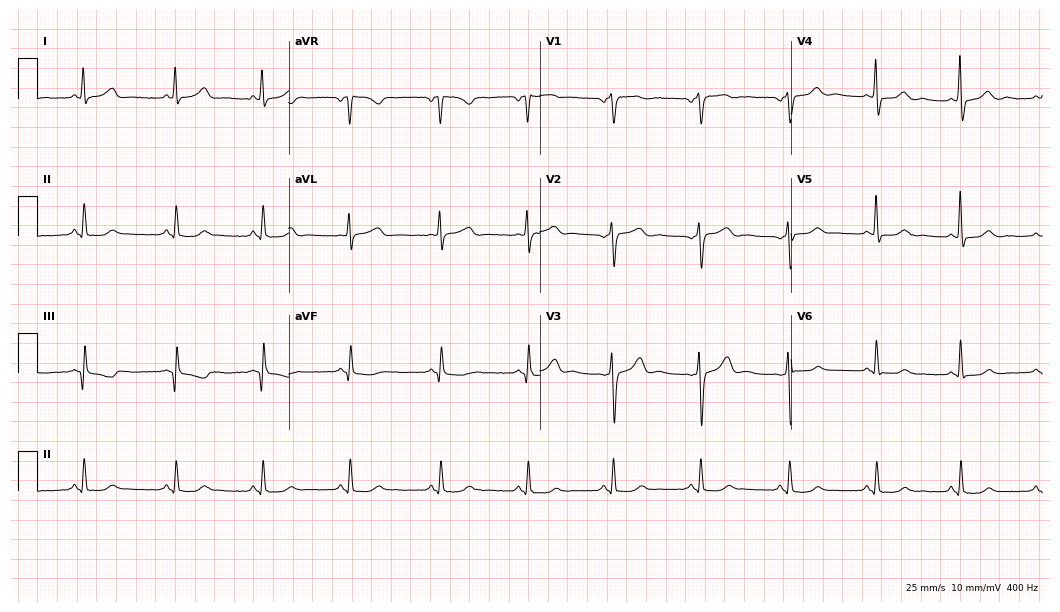
Standard 12-lead ECG recorded from a woman, 56 years old. Read as a normal ECG.